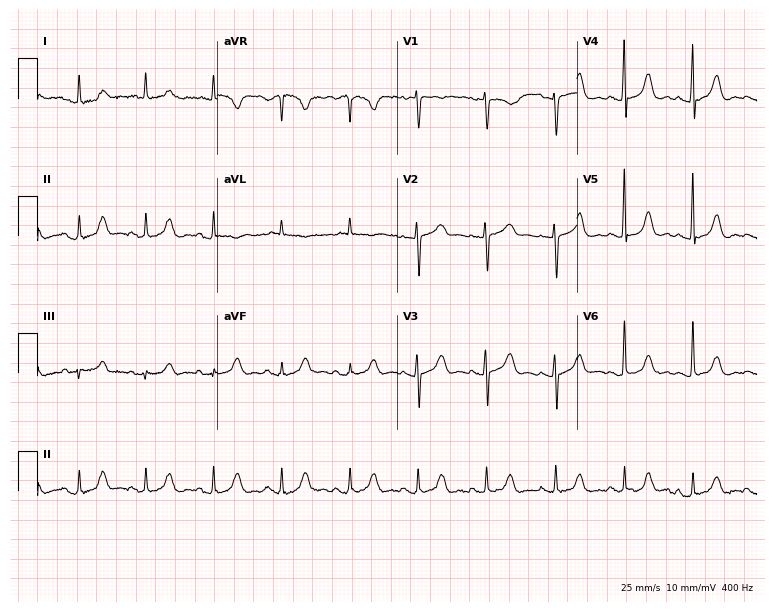
Standard 12-lead ECG recorded from a female patient, 85 years old (7.3-second recording at 400 Hz). None of these six findings is recorded: first-degree AV block, right bundle branch block (RBBB), left bundle branch block (LBBB), sinus bradycardia, atrial fibrillation (AF), sinus tachycardia. Findings outside these six are not listed.